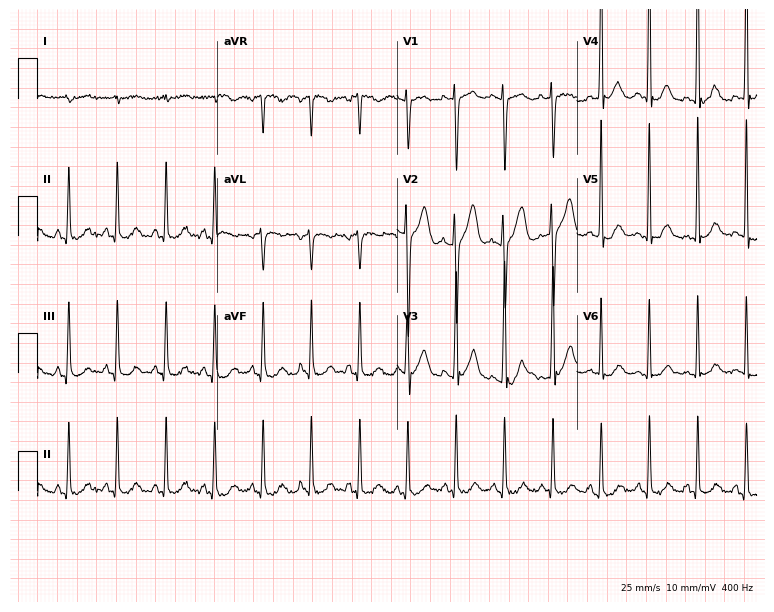
Electrocardiogram (7.3-second recording at 400 Hz), a man, 59 years old. Of the six screened findings (first-degree AV block, right bundle branch block, left bundle branch block, sinus bradycardia, atrial fibrillation, sinus tachycardia), none is recorded. Only these six findings were labelled.